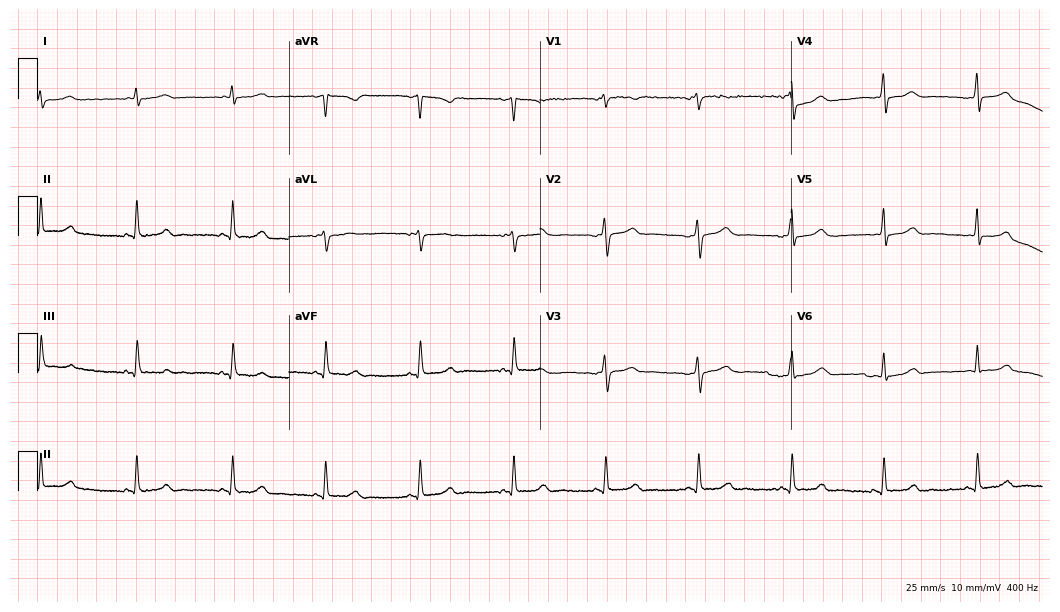
12-lead ECG (10.2-second recording at 400 Hz) from a 34-year-old female. Labelled as a normal ECG.